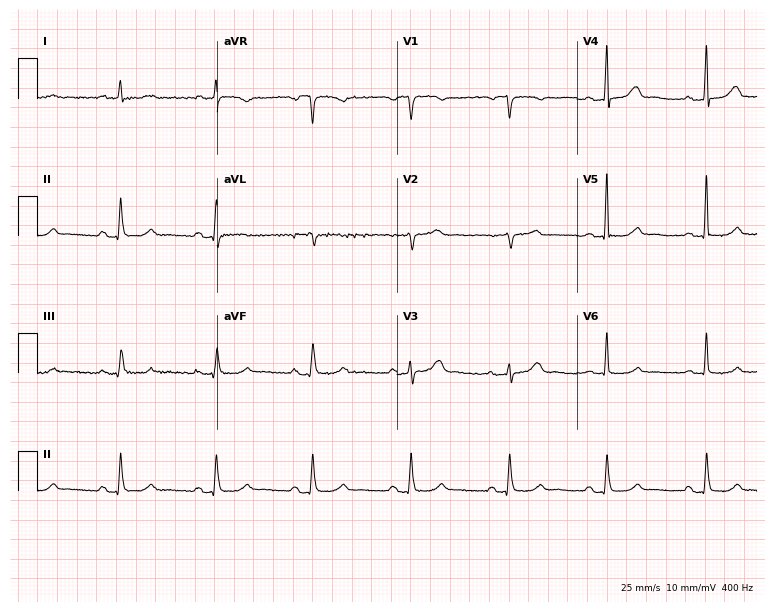
ECG — a male patient, 77 years old. Labelled as a normal ECG.